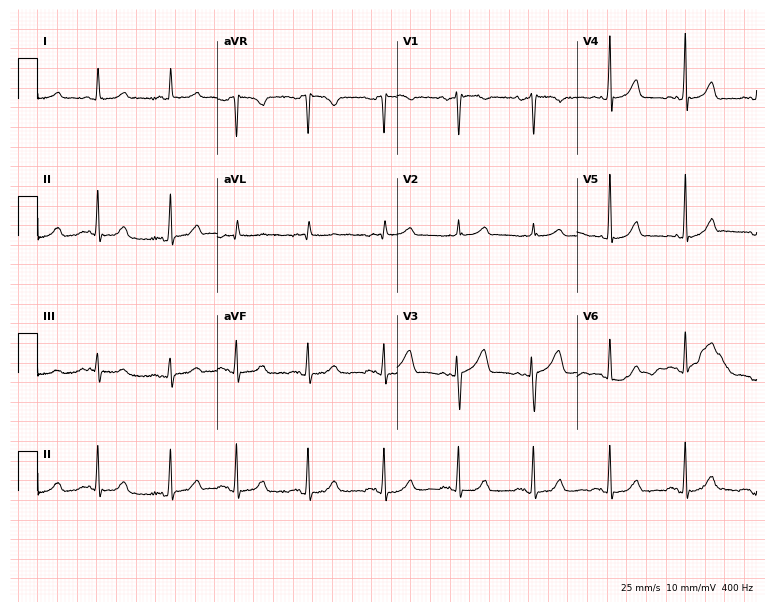
12-lead ECG (7.3-second recording at 400 Hz) from a 73-year-old female. Screened for six findings — first-degree AV block, right bundle branch block, left bundle branch block, sinus bradycardia, atrial fibrillation, sinus tachycardia — none is recorded.